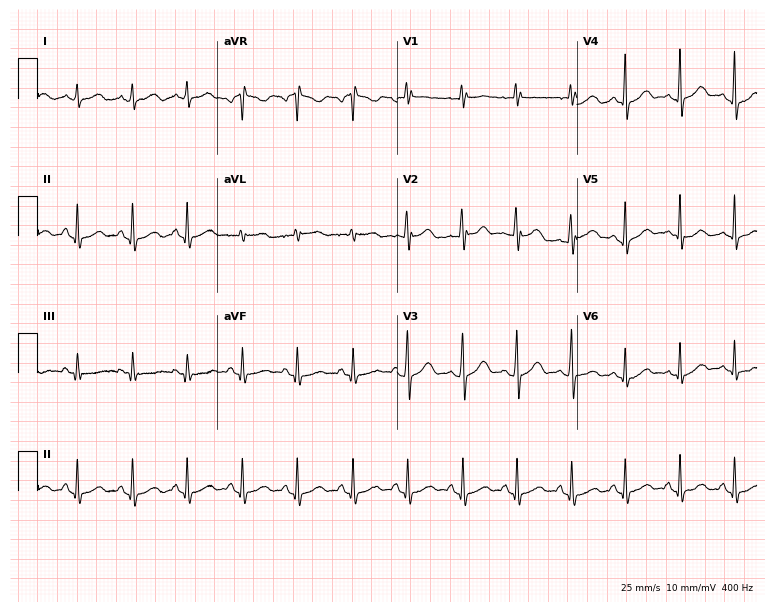
ECG — a woman, 44 years old. Findings include sinus tachycardia (a sinus rate of 100 beats per minute or more).